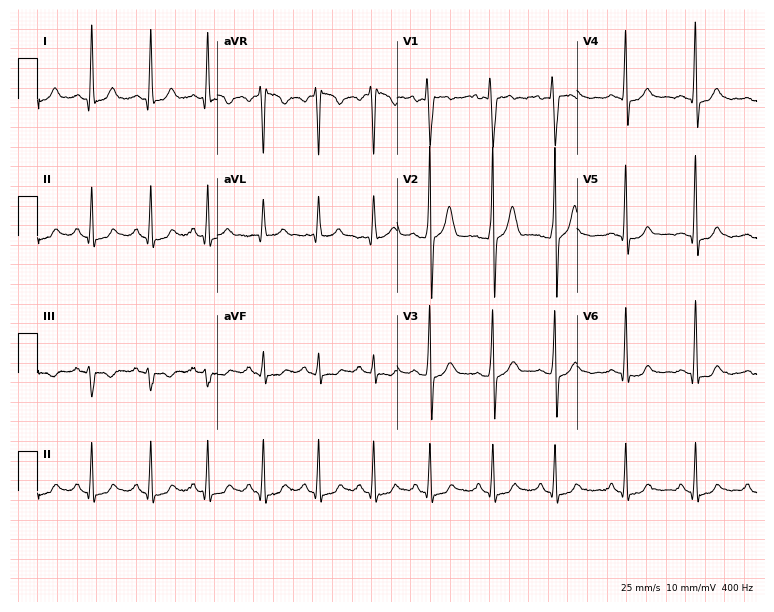
12-lead ECG from a man, 37 years old. Screened for six findings — first-degree AV block, right bundle branch block (RBBB), left bundle branch block (LBBB), sinus bradycardia, atrial fibrillation (AF), sinus tachycardia — none is recorded.